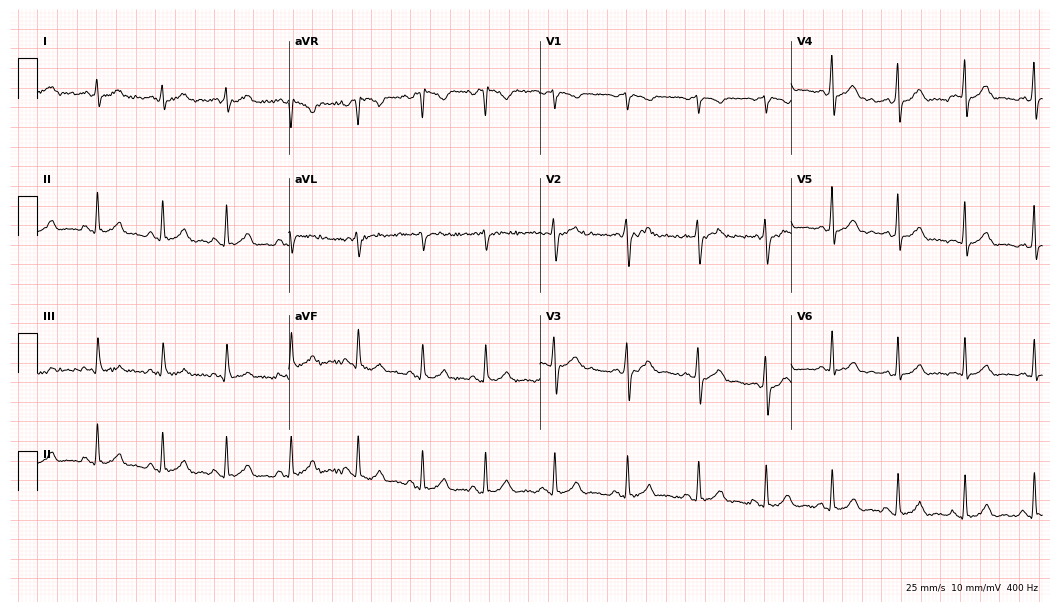
Electrocardiogram, a 26-year-old man. Overall reading on record: normal ECG.